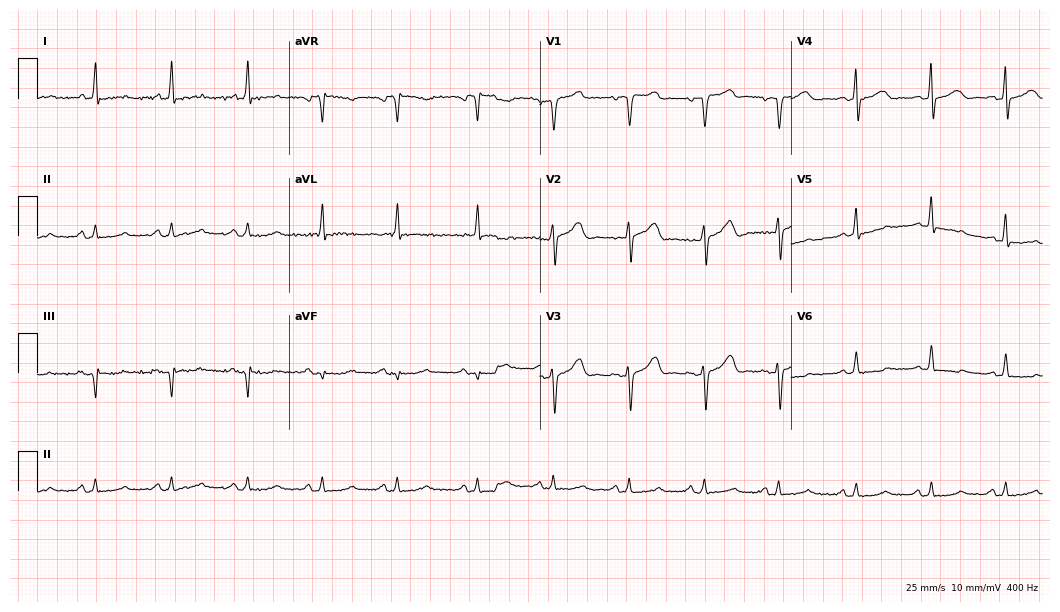
Electrocardiogram (10.2-second recording at 400 Hz), a female, 71 years old. Of the six screened findings (first-degree AV block, right bundle branch block, left bundle branch block, sinus bradycardia, atrial fibrillation, sinus tachycardia), none is recorded. Findings outside these six are not listed.